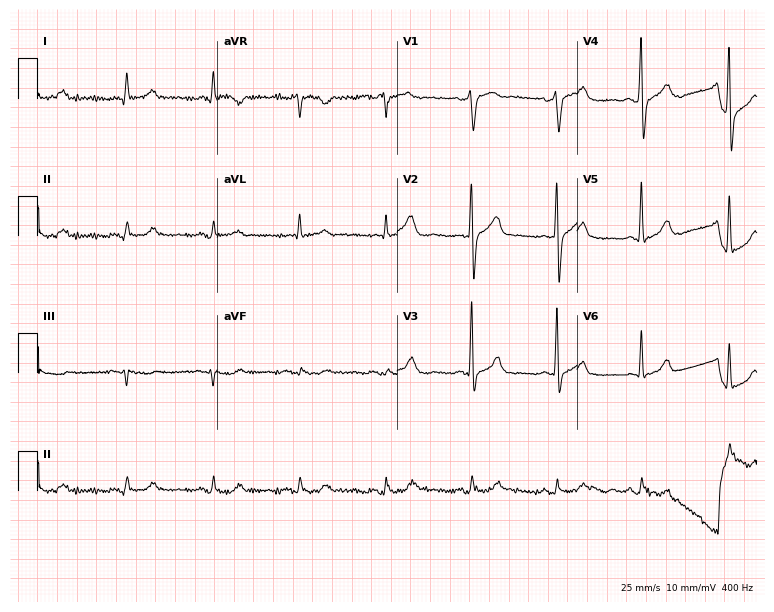
Standard 12-lead ECG recorded from a 72-year-old man. Read as a normal ECG.